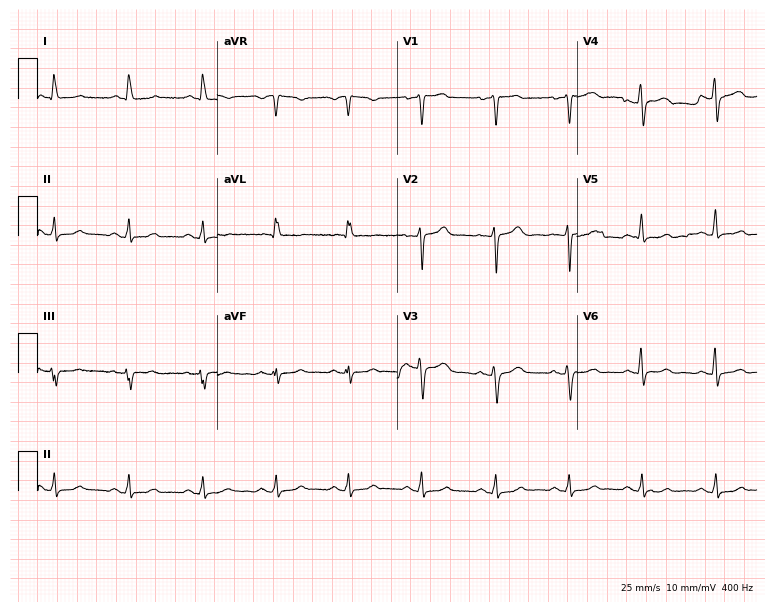
Standard 12-lead ECG recorded from a 54-year-old female patient (7.3-second recording at 400 Hz). Read as a normal ECG.